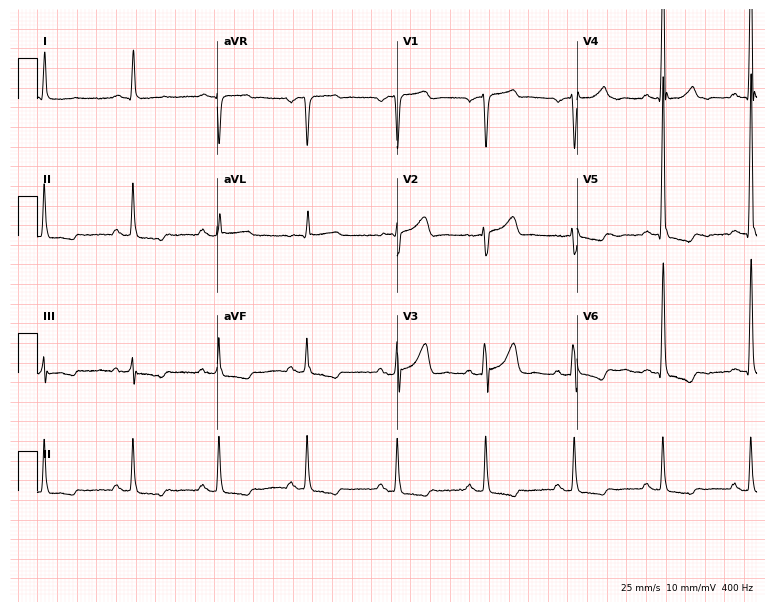
Standard 12-lead ECG recorded from a male patient, 54 years old. None of these six findings is recorded: first-degree AV block, right bundle branch block (RBBB), left bundle branch block (LBBB), sinus bradycardia, atrial fibrillation (AF), sinus tachycardia. Only these six findings were labelled.